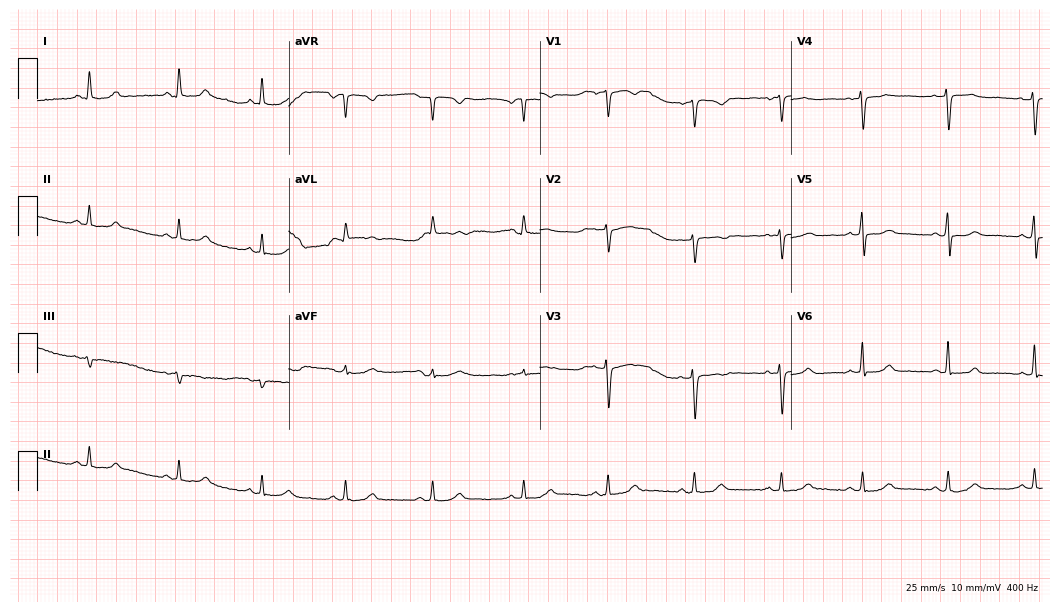
12-lead ECG from a 45-year-old female (10.2-second recording at 400 Hz). Recorded interpretation: within normal limits.